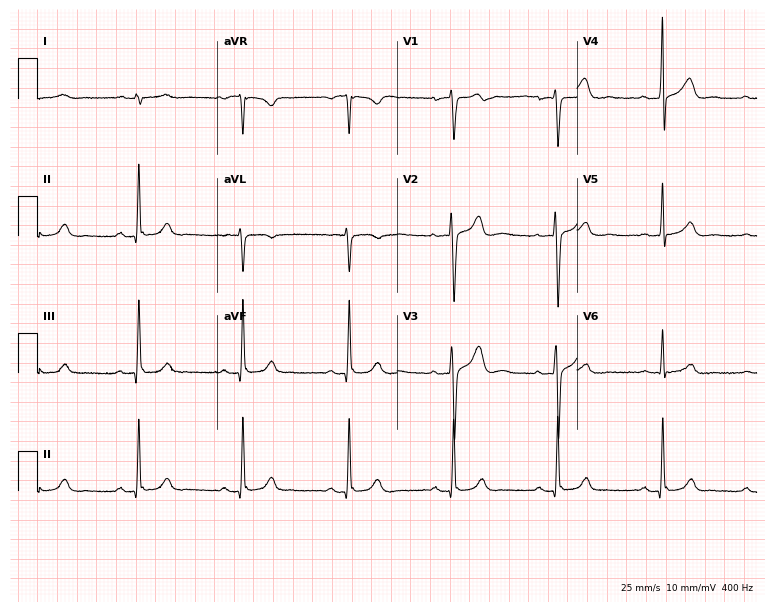
Electrocardiogram (7.3-second recording at 400 Hz), a man, 51 years old. Of the six screened findings (first-degree AV block, right bundle branch block, left bundle branch block, sinus bradycardia, atrial fibrillation, sinus tachycardia), none is recorded. Findings outside these six are not listed.